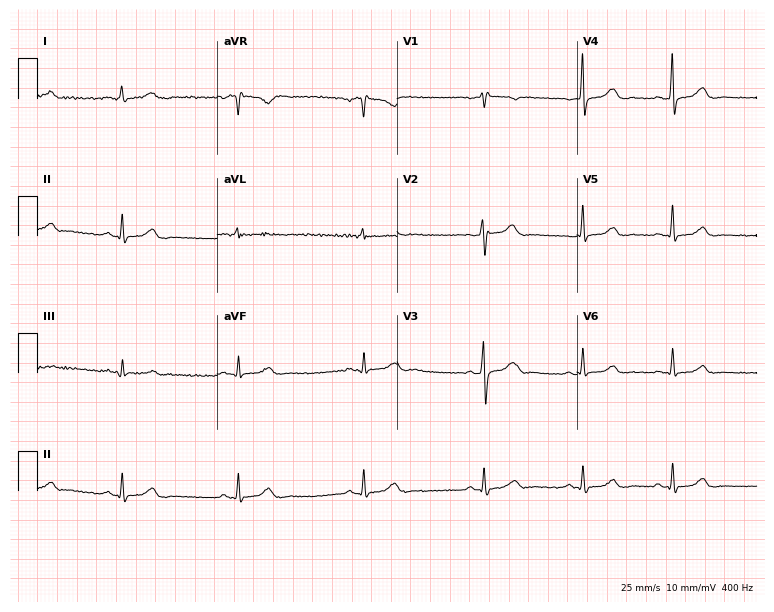
12-lead ECG (7.3-second recording at 400 Hz) from a female patient, 32 years old. Screened for six findings — first-degree AV block, right bundle branch block, left bundle branch block, sinus bradycardia, atrial fibrillation, sinus tachycardia — none is recorded. Findings outside these six are not listed.